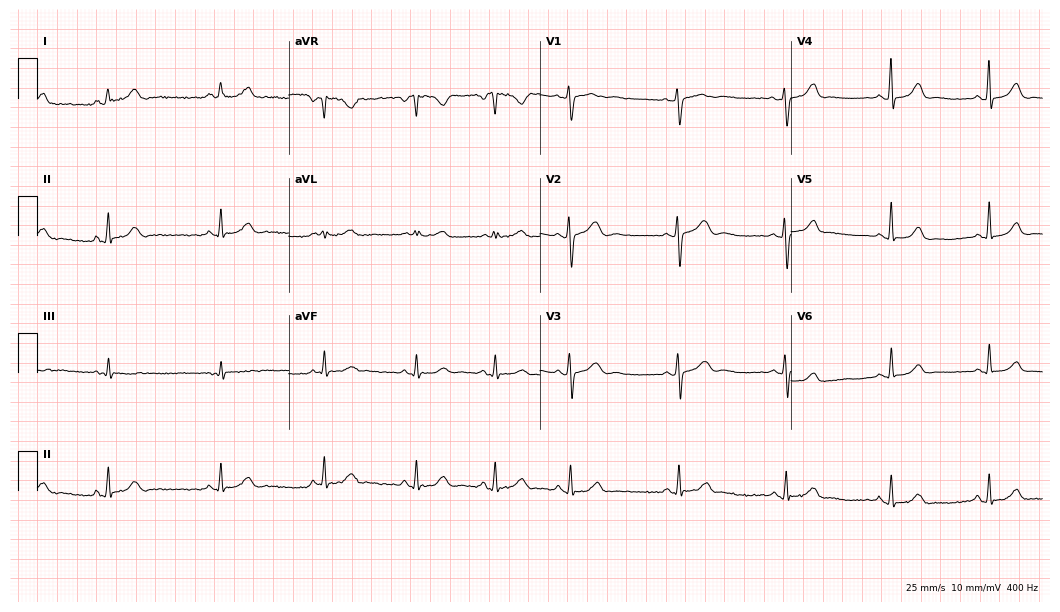
Resting 12-lead electrocardiogram. Patient: a 45-year-old female. None of these six findings is recorded: first-degree AV block, right bundle branch block, left bundle branch block, sinus bradycardia, atrial fibrillation, sinus tachycardia. Only these six findings were labelled.